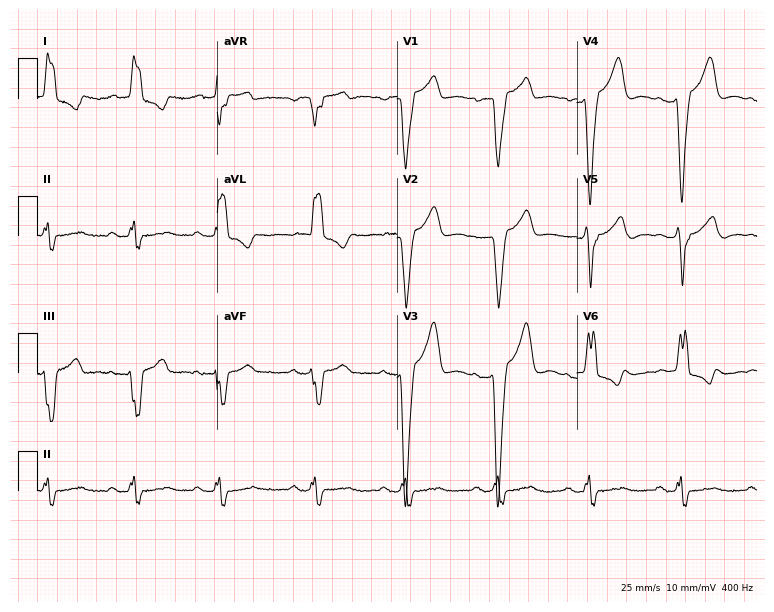
12-lead ECG from a 76-year-old female patient. Findings include left bundle branch block.